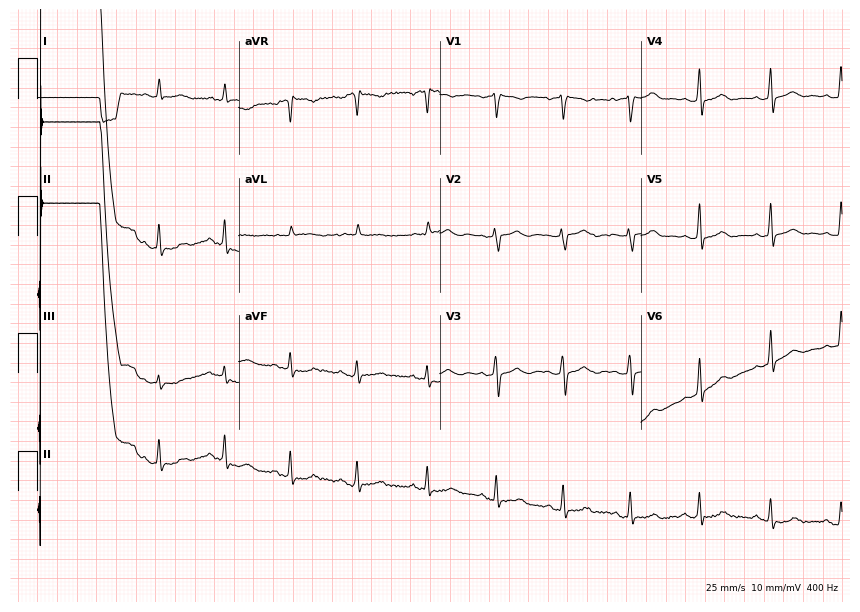
12-lead ECG (8.2-second recording at 400 Hz) from a female, 65 years old. Labelled as a normal ECG.